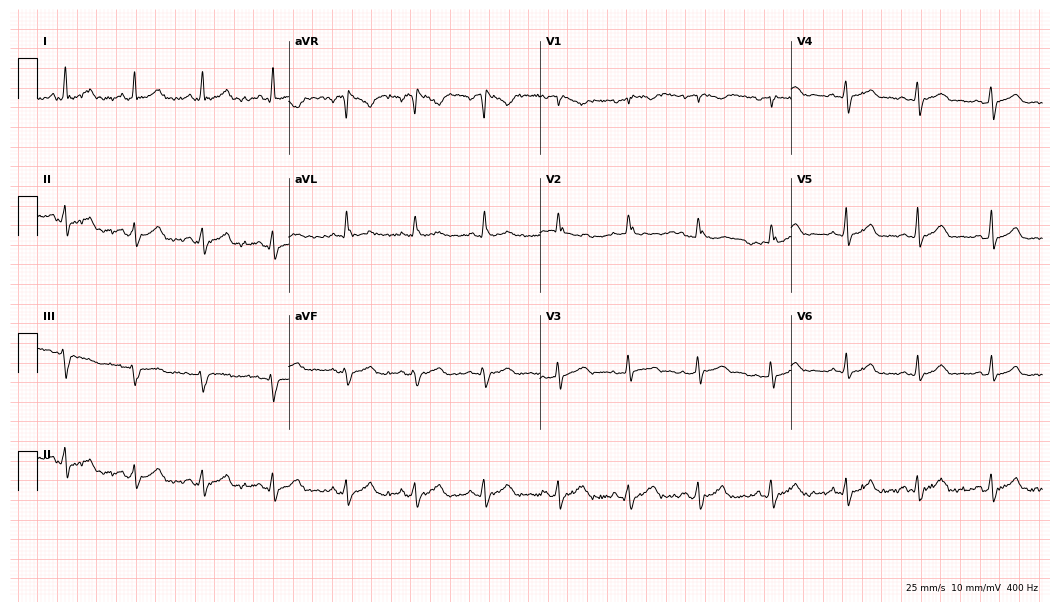
Resting 12-lead electrocardiogram. Patient: a 36-year-old female. Read as a normal ECG.